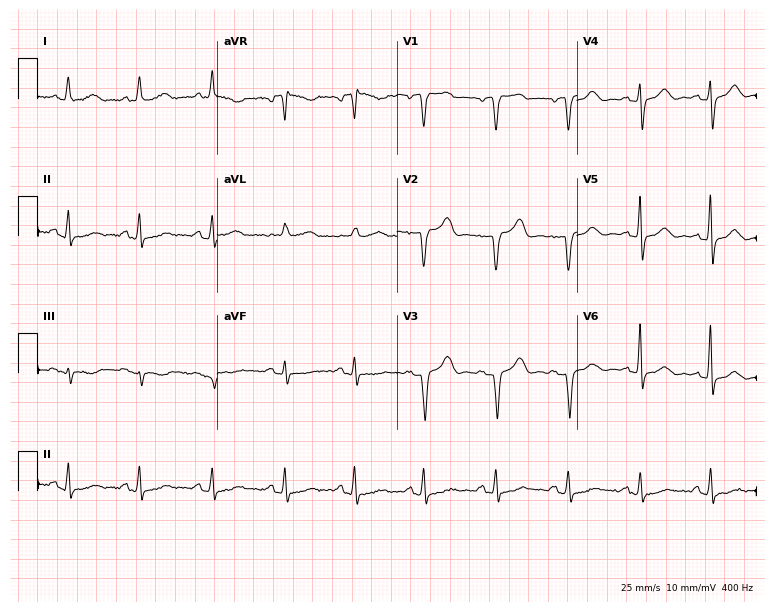
12-lead ECG from an 80-year-old female. No first-degree AV block, right bundle branch block, left bundle branch block, sinus bradycardia, atrial fibrillation or sinus tachycardia recorded for this tracing.